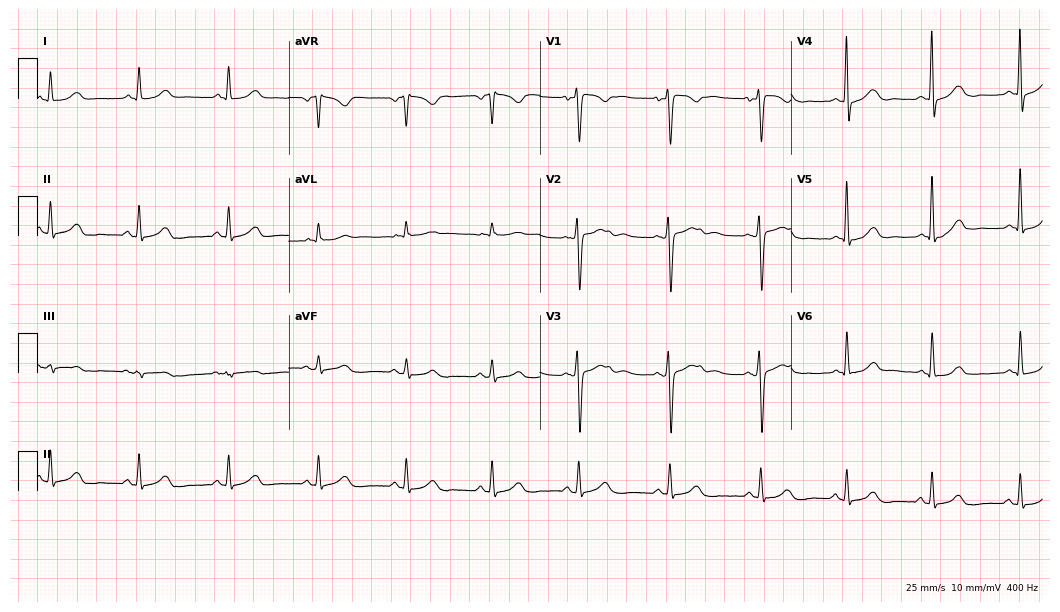
12-lead ECG from a 47-year-old female patient. Recorded interpretation: within normal limits.